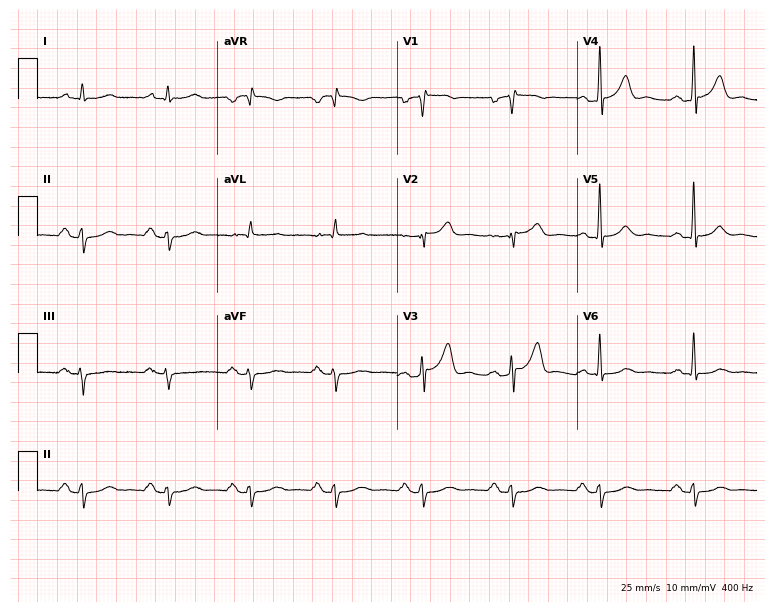
Standard 12-lead ECG recorded from a male patient, 48 years old (7.3-second recording at 400 Hz). None of these six findings is recorded: first-degree AV block, right bundle branch block, left bundle branch block, sinus bradycardia, atrial fibrillation, sinus tachycardia. Findings outside these six are not listed.